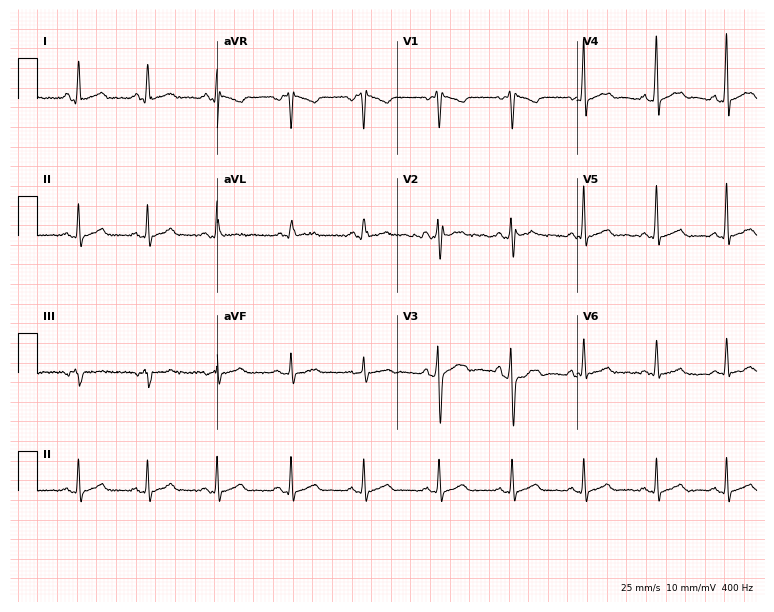
12-lead ECG from a male patient, 23 years old. Labelled as a normal ECG.